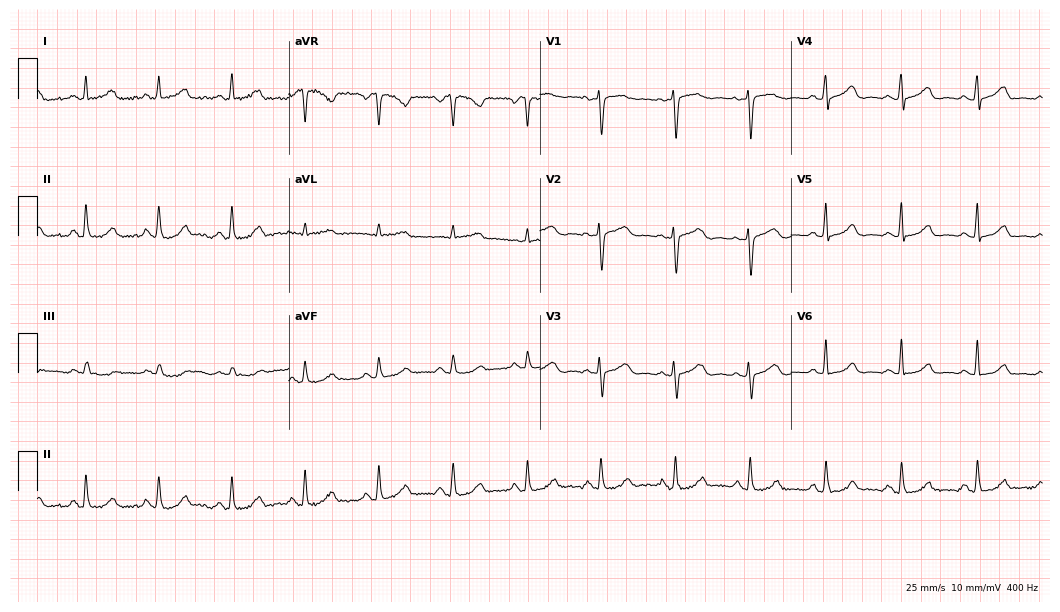
ECG (10.2-second recording at 400 Hz) — a 60-year-old woman. Labelled as a normal ECG.